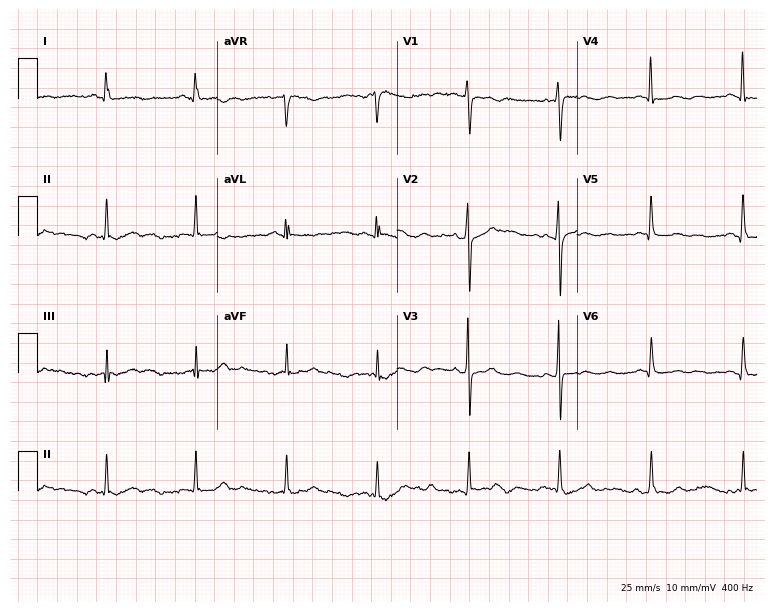
Resting 12-lead electrocardiogram. Patient: a woman, 69 years old. None of these six findings is recorded: first-degree AV block, right bundle branch block, left bundle branch block, sinus bradycardia, atrial fibrillation, sinus tachycardia. Other findings, if any, are not listed.